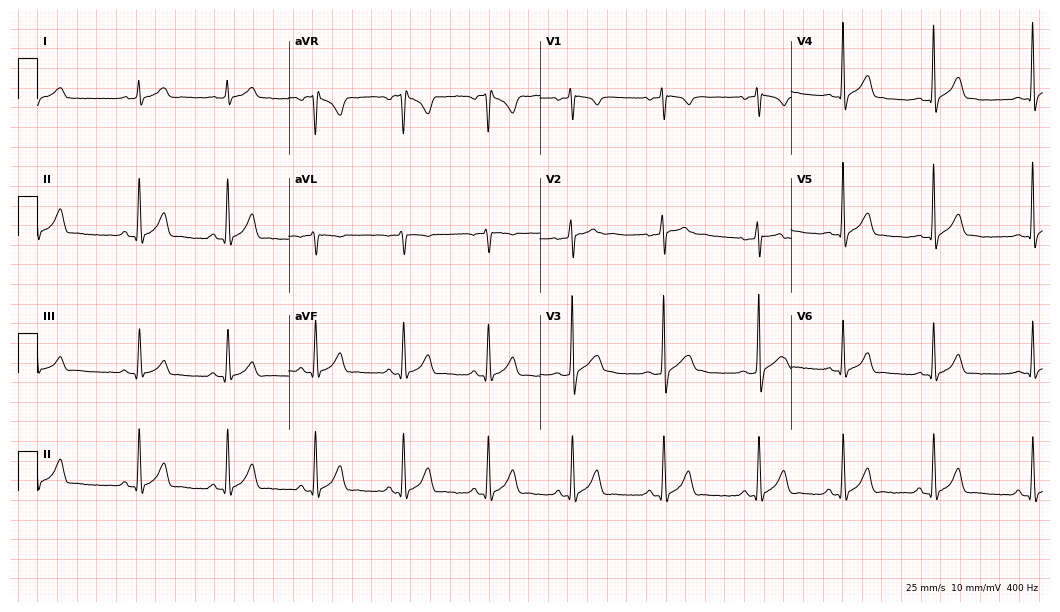
Electrocardiogram (10.2-second recording at 400 Hz), a male patient, 23 years old. Overall reading on record: normal ECG.